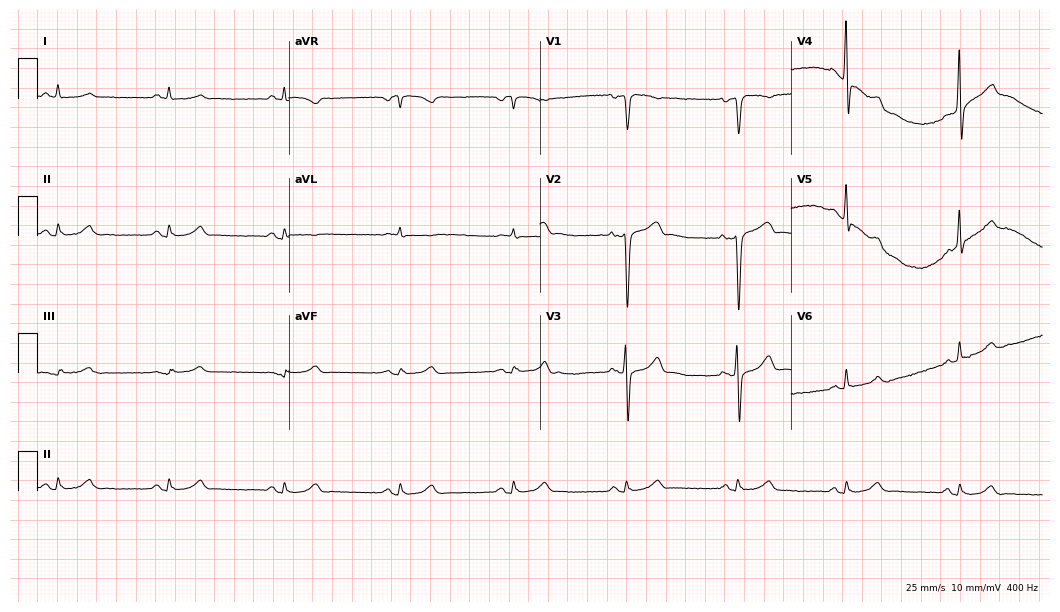
Standard 12-lead ECG recorded from a male, 71 years old. None of these six findings is recorded: first-degree AV block, right bundle branch block, left bundle branch block, sinus bradycardia, atrial fibrillation, sinus tachycardia.